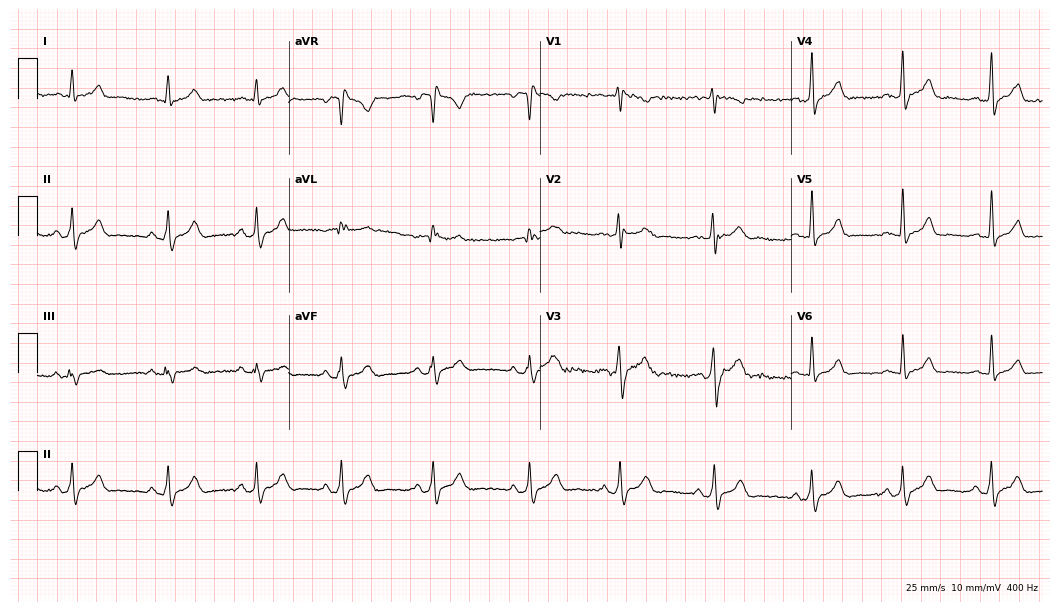
12-lead ECG from a 26-year-old male patient. No first-degree AV block, right bundle branch block, left bundle branch block, sinus bradycardia, atrial fibrillation or sinus tachycardia recorded for this tracing. Only these six findings were labelled.